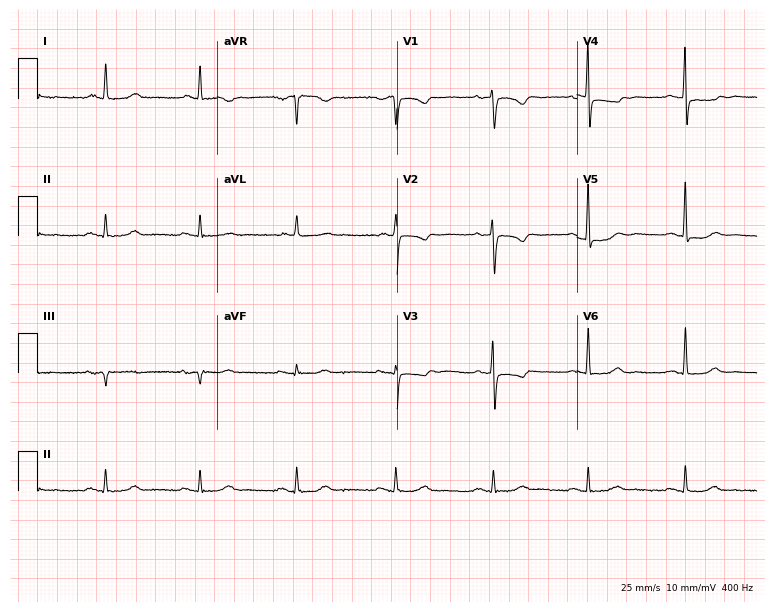
12-lead ECG from a 67-year-old female. Screened for six findings — first-degree AV block, right bundle branch block, left bundle branch block, sinus bradycardia, atrial fibrillation, sinus tachycardia — none is recorded. Only these six findings were labelled.